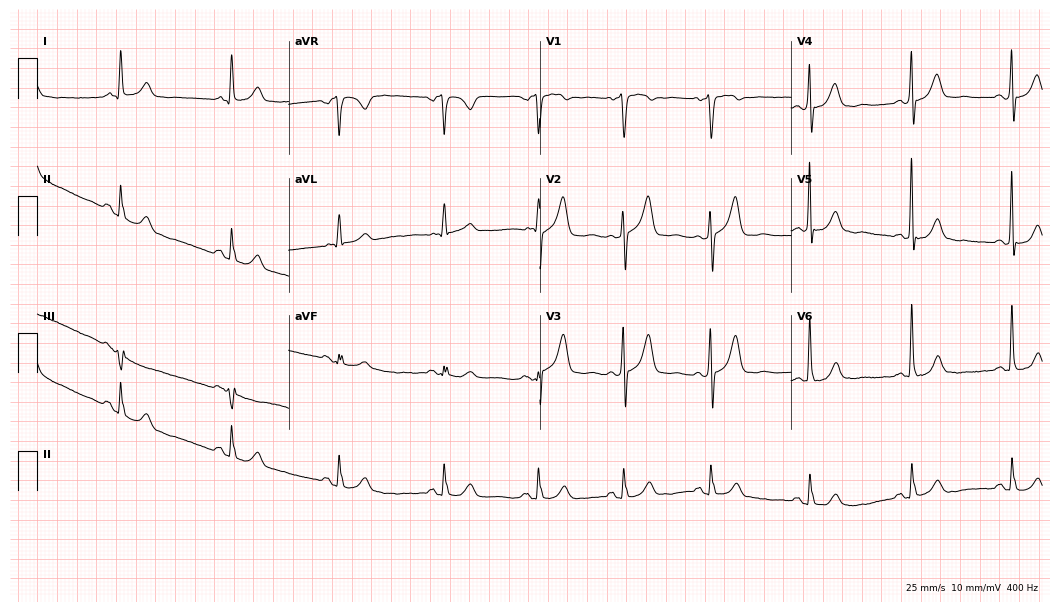
ECG (10.2-second recording at 400 Hz) — a man, 63 years old. Labelled as a normal ECG.